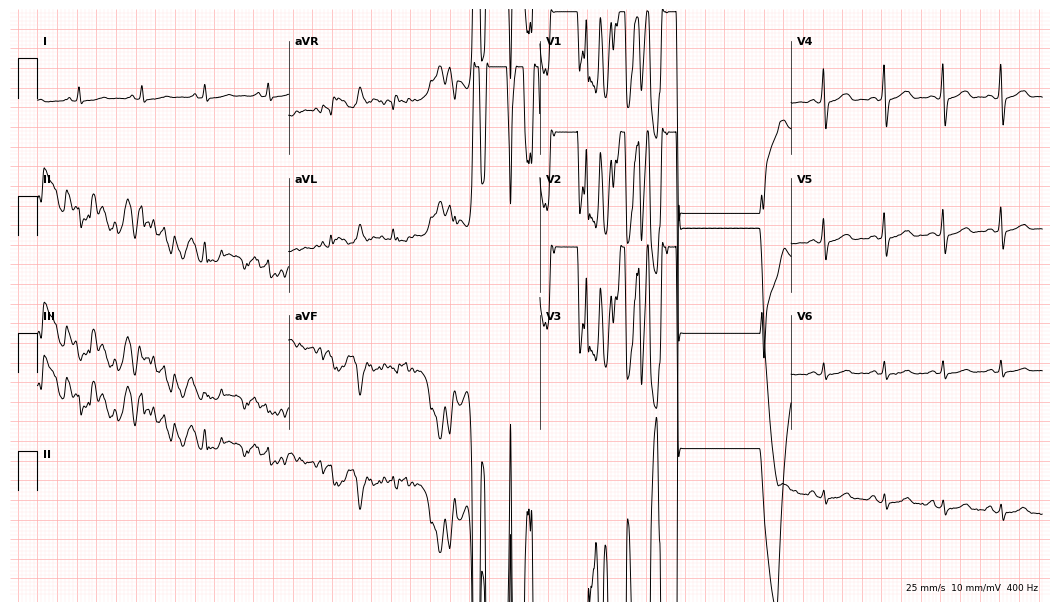
Standard 12-lead ECG recorded from a 57-year-old male (10.2-second recording at 400 Hz). None of these six findings is recorded: first-degree AV block, right bundle branch block, left bundle branch block, sinus bradycardia, atrial fibrillation, sinus tachycardia. Only these six findings were labelled.